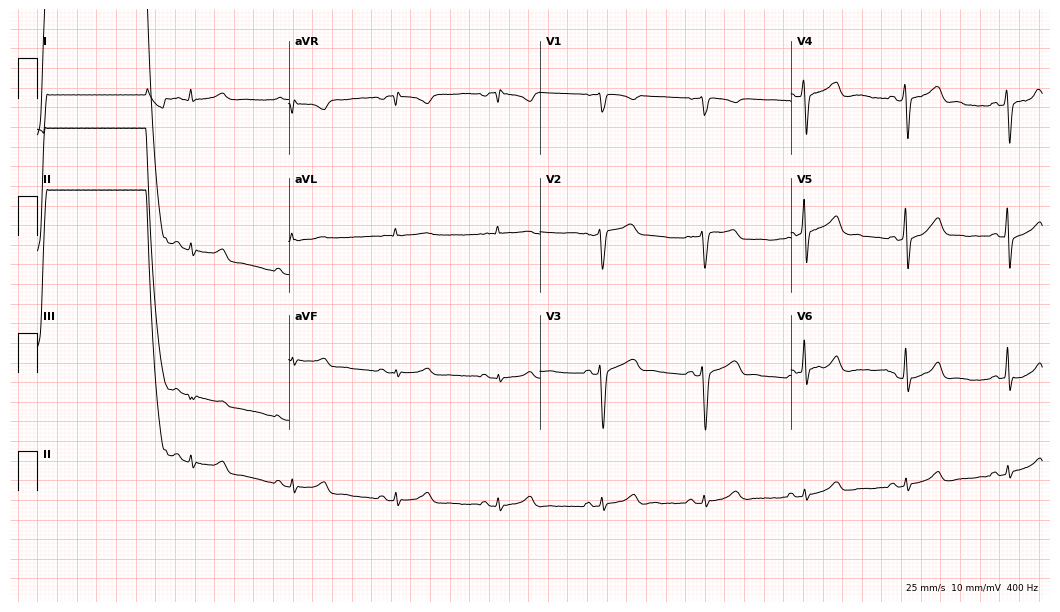
Standard 12-lead ECG recorded from a 47-year-old male patient. Read as a normal ECG.